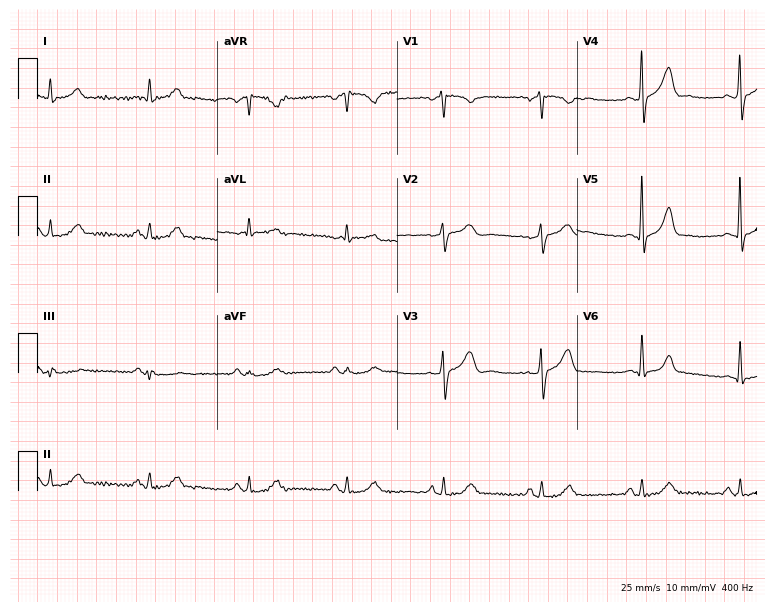
12-lead ECG from a 68-year-old male patient (7.3-second recording at 400 Hz). No first-degree AV block, right bundle branch block (RBBB), left bundle branch block (LBBB), sinus bradycardia, atrial fibrillation (AF) or sinus tachycardia recorded for this tracing.